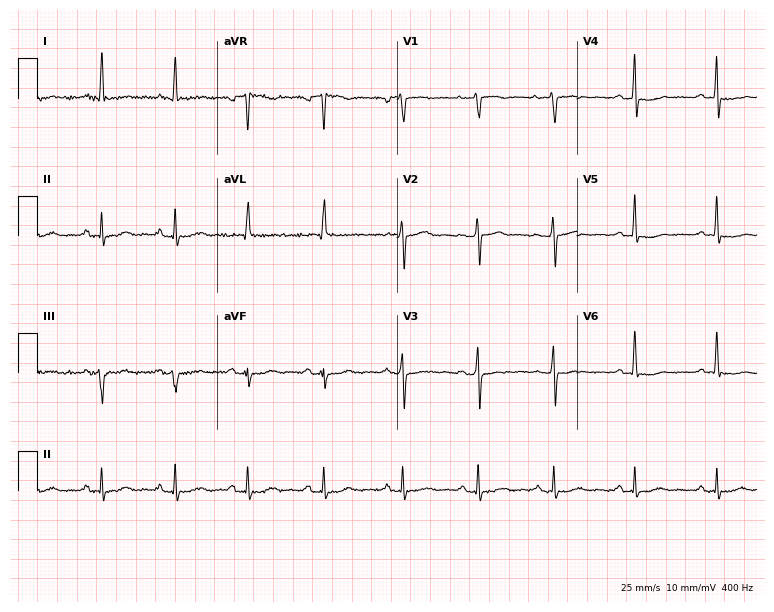
Standard 12-lead ECG recorded from a female, 73 years old. None of these six findings is recorded: first-degree AV block, right bundle branch block, left bundle branch block, sinus bradycardia, atrial fibrillation, sinus tachycardia.